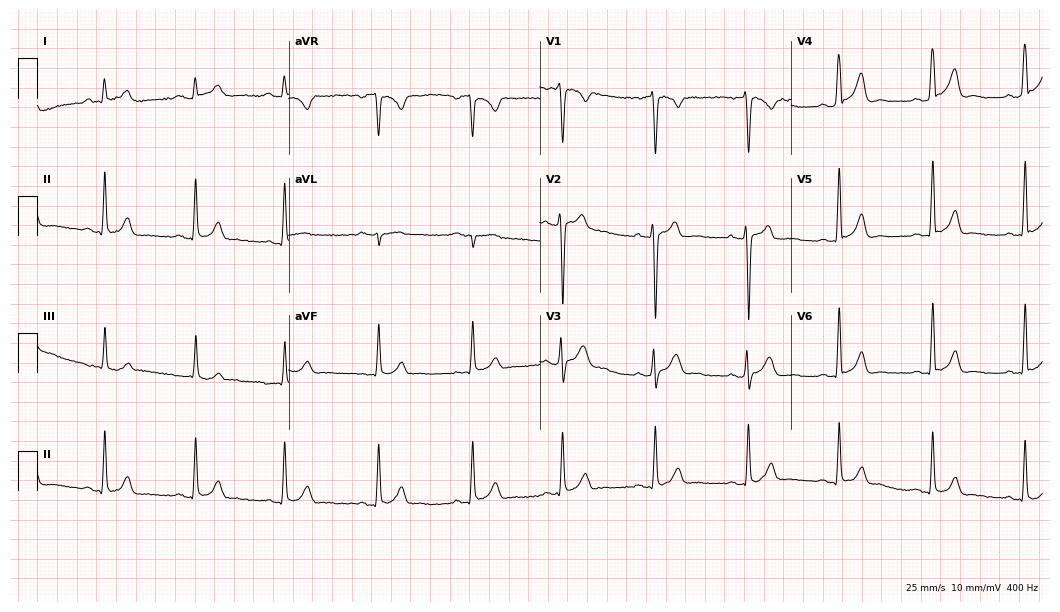
12-lead ECG (10.2-second recording at 400 Hz) from a 30-year-old male. Labelled as a normal ECG.